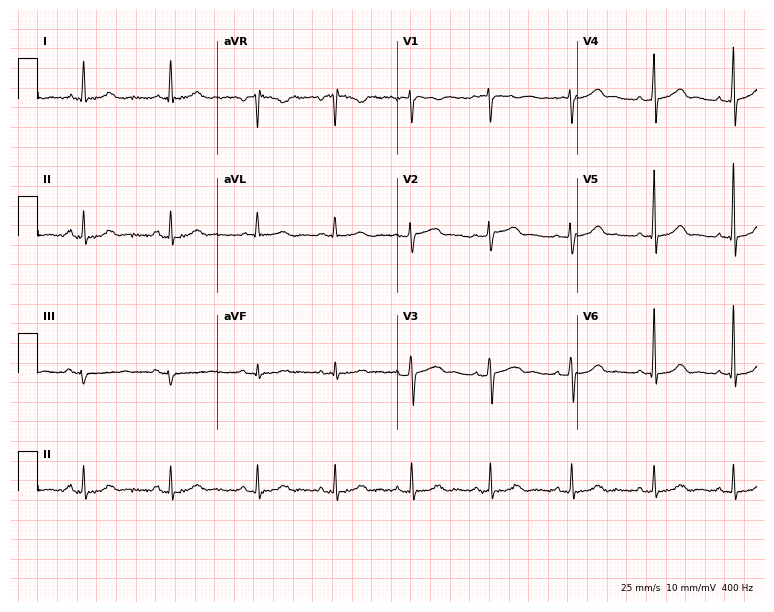
Electrocardiogram (7.3-second recording at 400 Hz), a 31-year-old female. Of the six screened findings (first-degree AV block, right bundle branch block, left bundle branch block, sinus bradycardia, atrial fibrillation, sinus tachycardia), none is recorded.